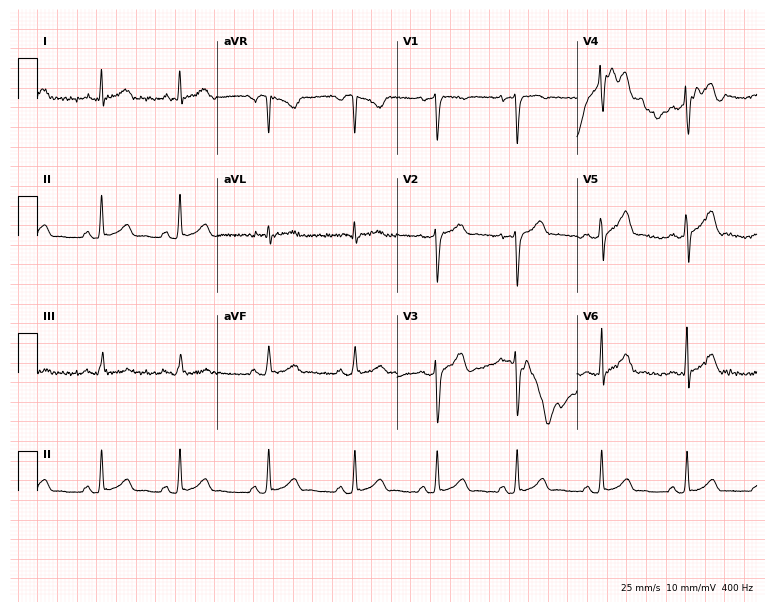
Resting 12-lead electrocardiogram. Patient: a 28-year-old male. None of these six findings is recorded: first-degree AV block, right bundle branch block, left bundle branch block, sinus bradycardia, atrial fibrillation, sinus tachycardia.